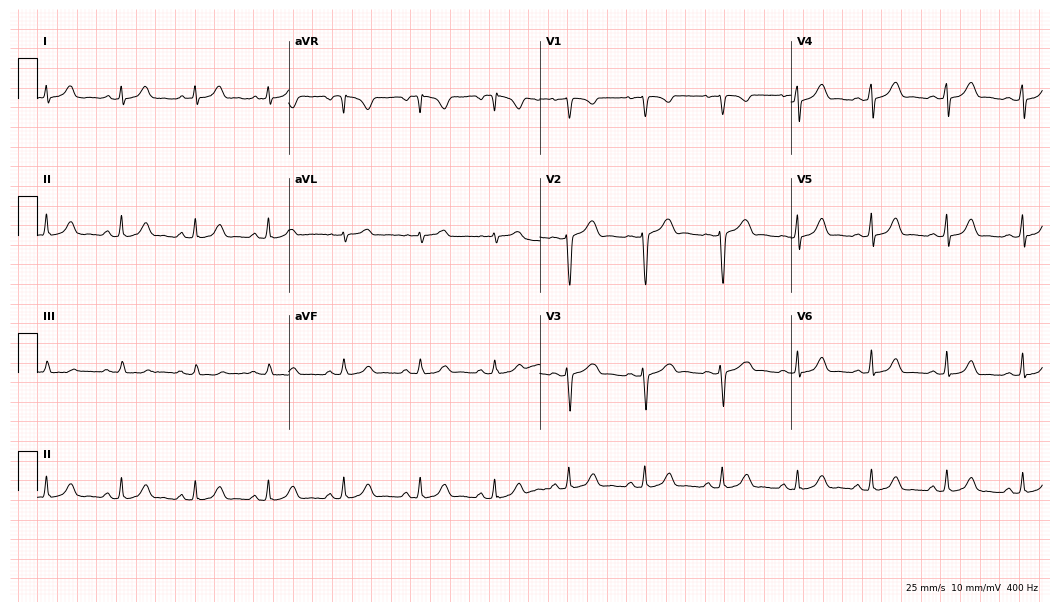
12-lead ECG from a 23-year-old woman. Labelled as a normal ECG.